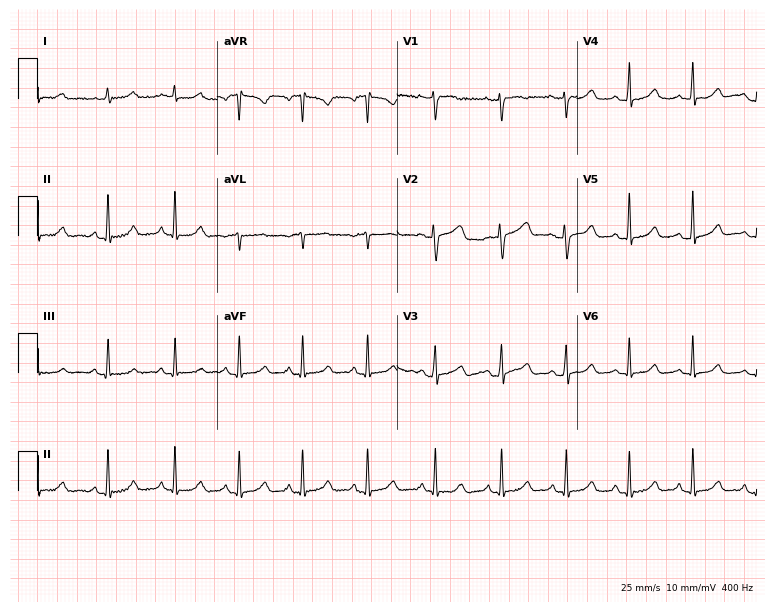
12-lead ECG (7.3-second recording at 400 Hz) from a 29-year-old female. Labelled as a normal ECG.